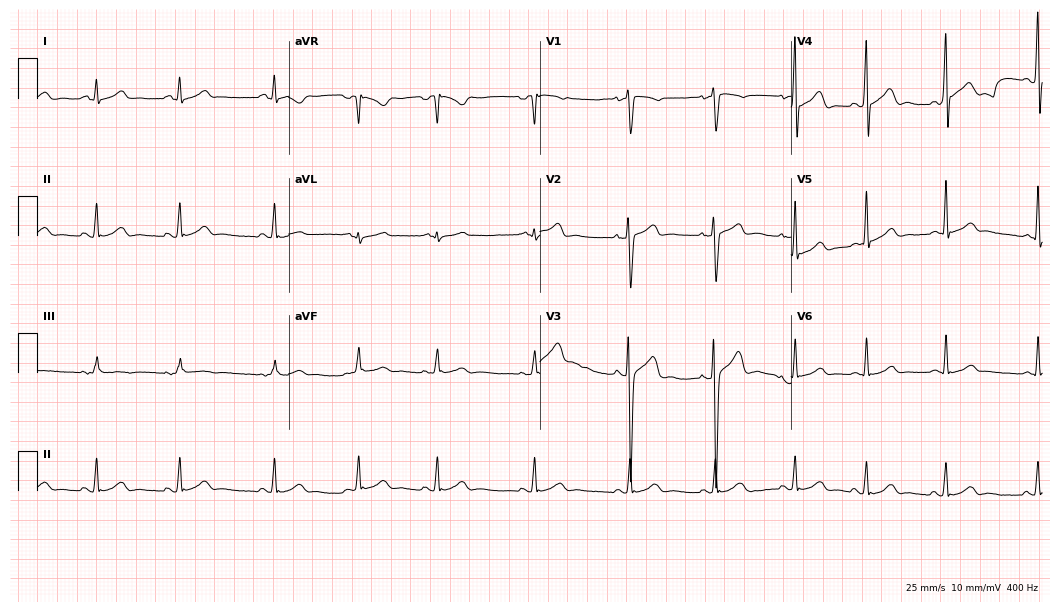
ECG (10.2-second recording at 400 Hz) — a 17-year-old man. Labelled as a normal ECG.